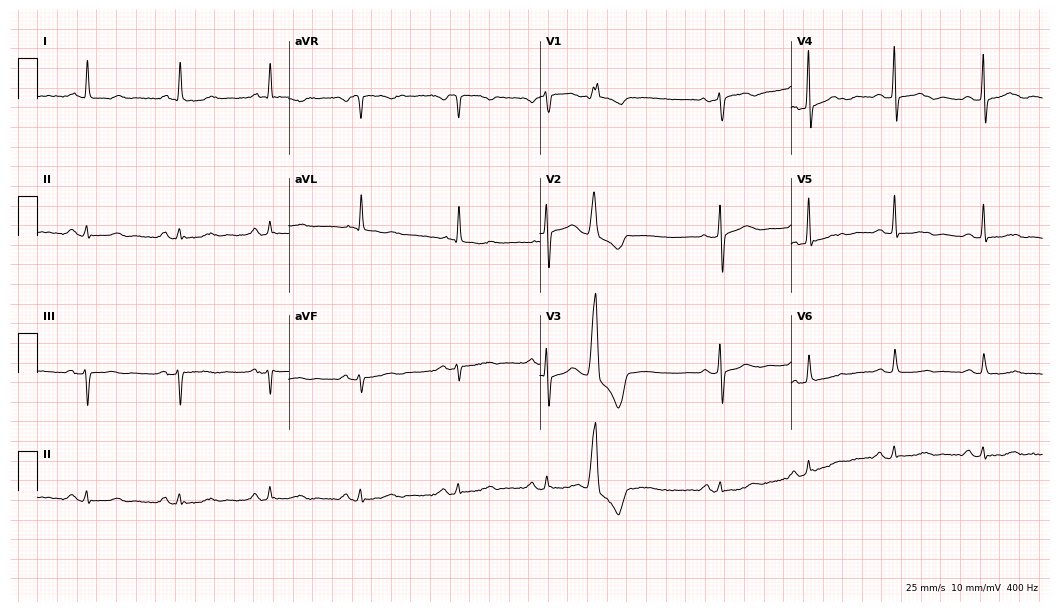
Electrocardiogram, a female, 83 years old. Overall reading on record: normal ECG.